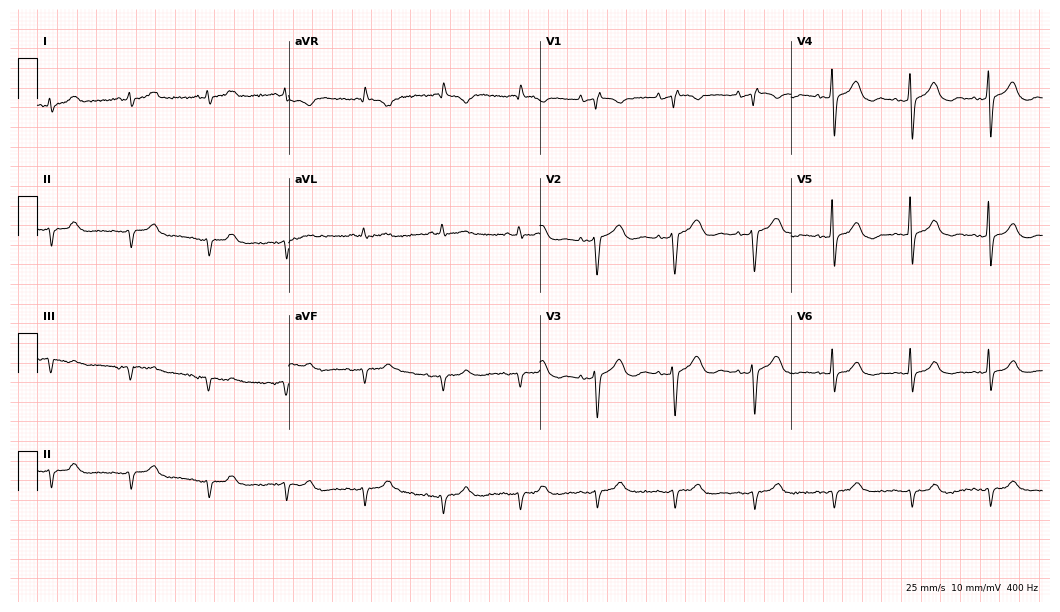
ECG — a woman, 71 years old. Screened for six findings — first-degree AV block, right bundle branch block, left bundle branch block, sinus bradycardia, atrial fibrillation, sinus tachycardia — none is recorded.